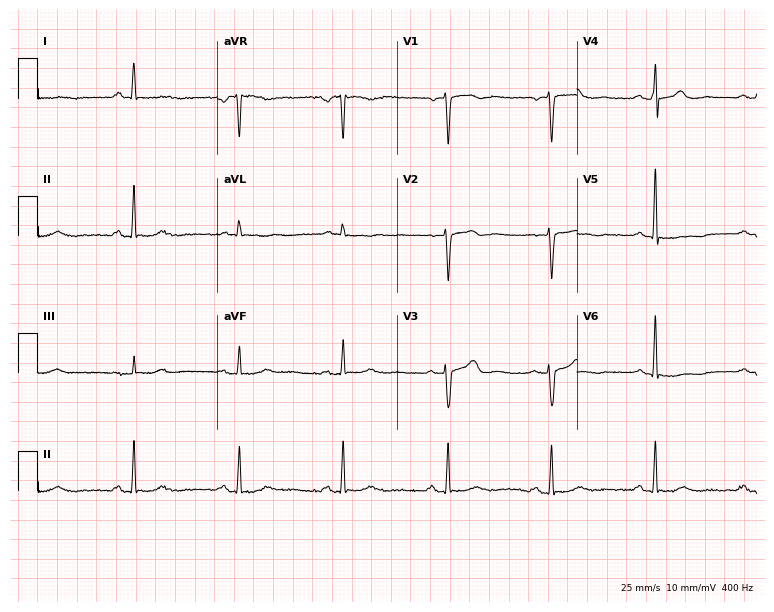
12-lead ECG (7.3-second recording at 400 Hz) from a 64-year-old male patient. Screened for six findings — first-degree AV block, right bundle branch block (RBBB), left bundle branch block (LBBB), sinus bradycardia, atrial fibrillation (AF), sinus tachycardia — none is recorded.